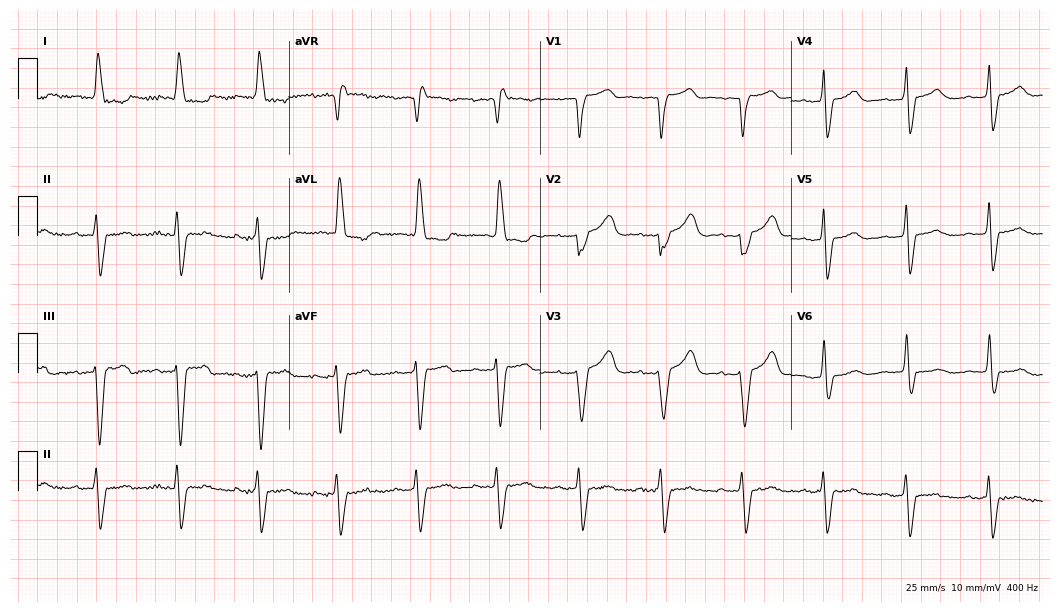
ECG — a female, 83 years old. Findings include left bundle branch block (LBBB).